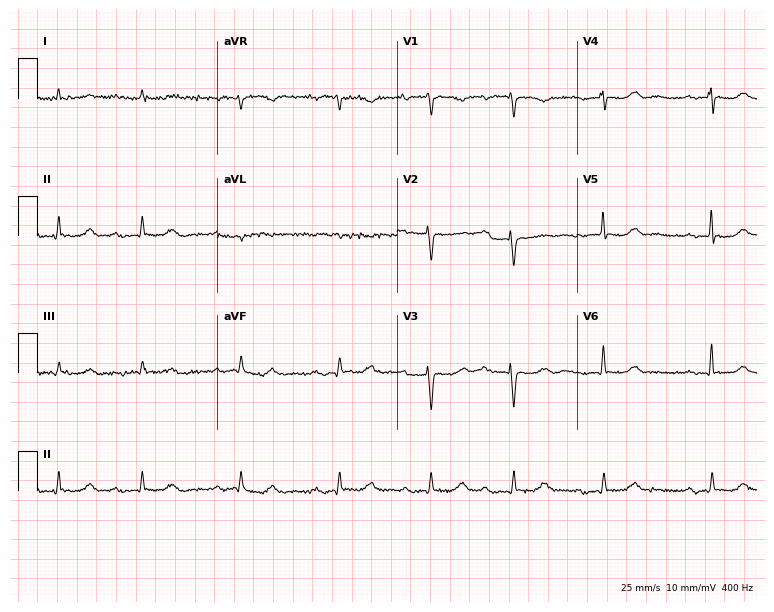
12-lead ECG (7.3-second recording at 400 Hz) from an 83-year-old female. Findings include first-degree AV block, atrial fibrillation.